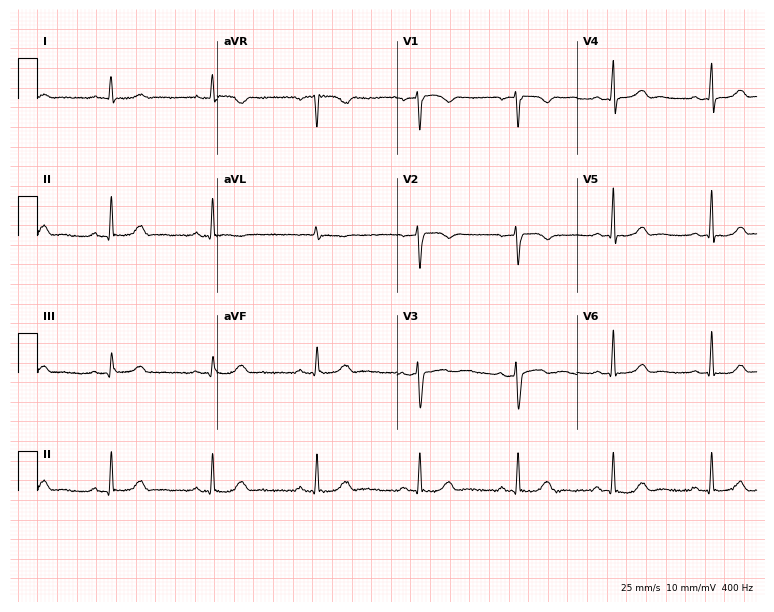
12-lead ECG from a woman, 43 years old. Screened for six findings — first-degree AV block, right bundle branch block, left bundle branch block, sinus bradycardia, atrial fibrillation, sinus tachycardia — none is recorded. Findings outside these six are not listed.